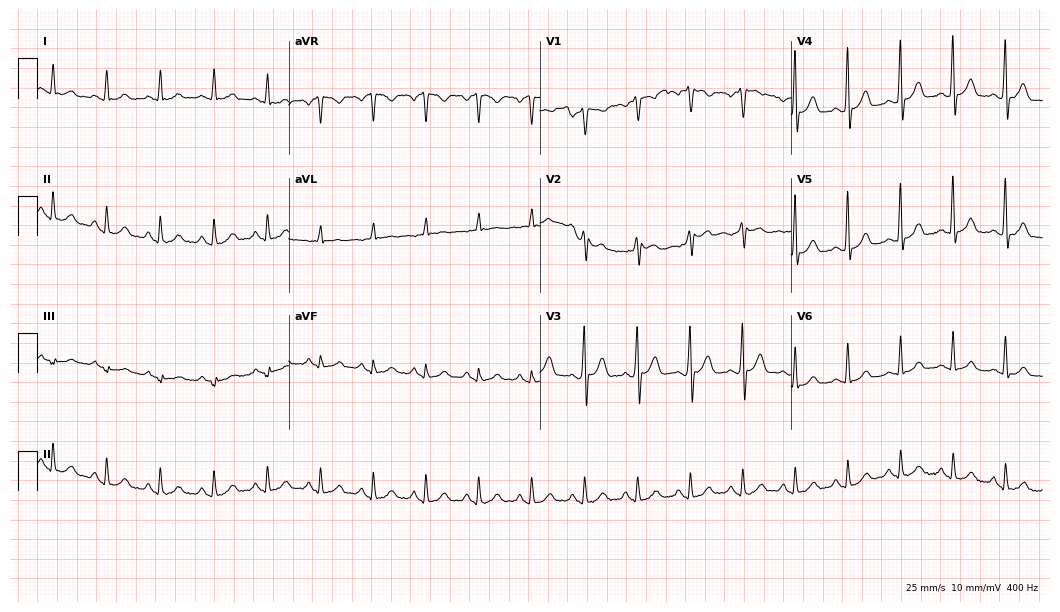
12-lead ECG from a man, 61 years old. No first-degree AV block, right bundle branch block (RBBB), left bundle branch block (LBBB), sinus bradycardia, atrial fibrillation (AF) or sinus tachycardia recorded for this tracing.